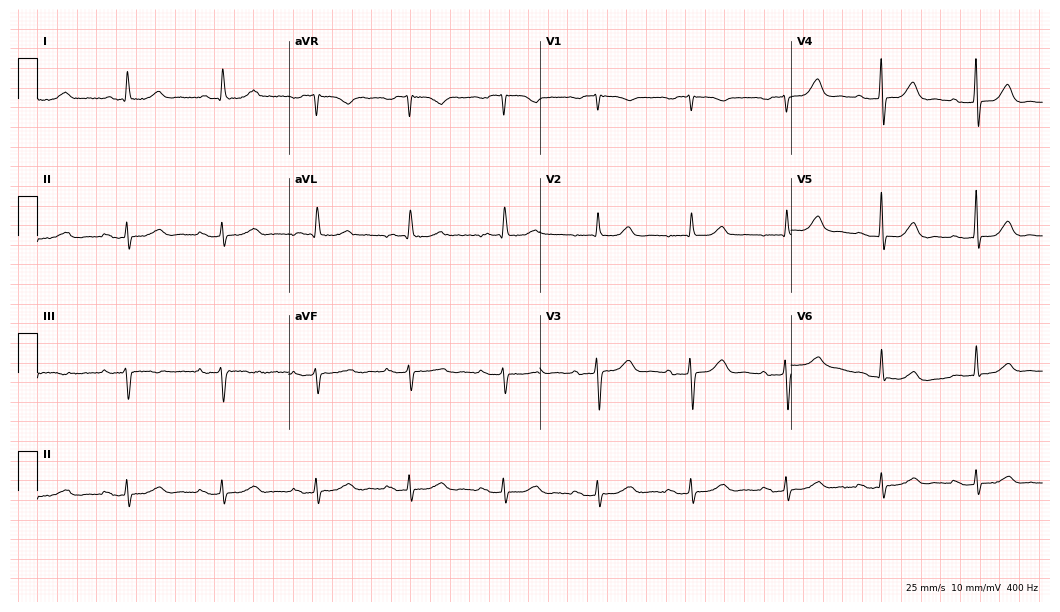
Standard 12-lead ECG recorded from a woman, 83 years old (10.2-second recording at 400 Hz). The tracing shows first-degree AV block.